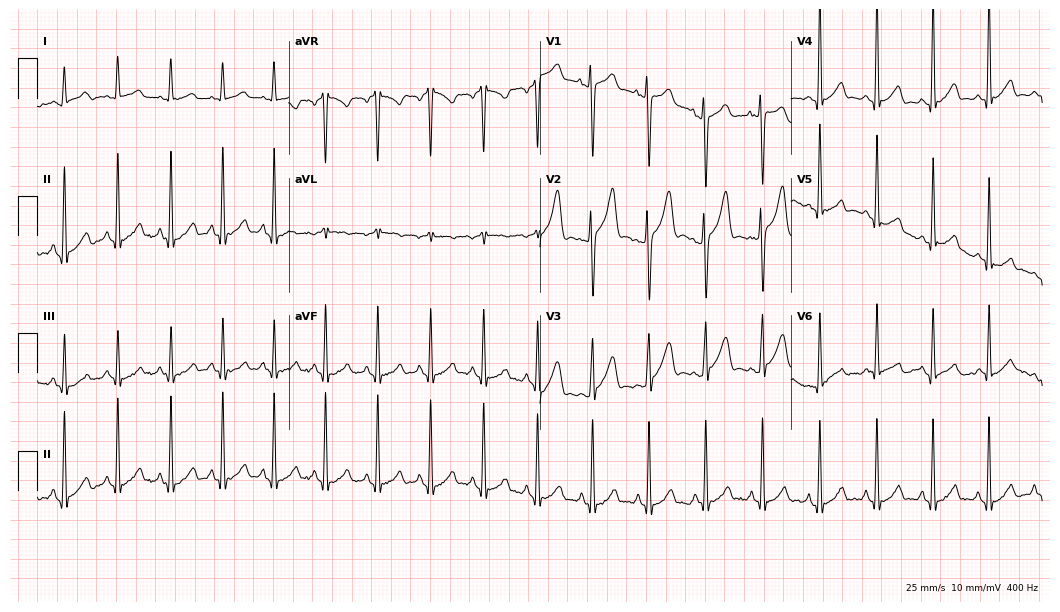
ECG (10.2-second recording at 400 Hz) — a 19-year-old male. Findings include sinus tachycardia (a sinus rate of 100 beats per minute or more).